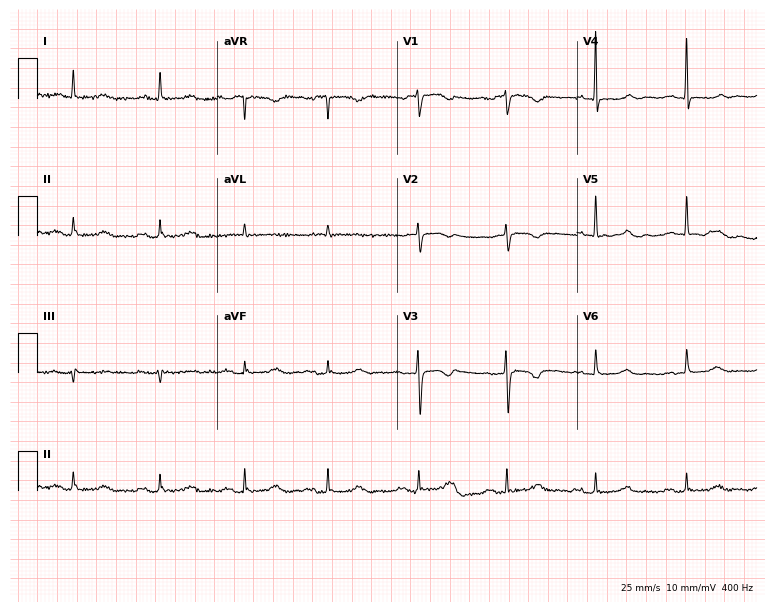
Electrocardiogram (7.3-second recording at 400 Hz), a 74-year-old female patient. Of the six screened findings (first-degree AV block, right bundle branch block (RBBB), left bundle branch block (LBBB), sinus bradycardia, atrial fibrillation (AF), sinus tachycardia), none is recorded. Only these six findings were labelled.